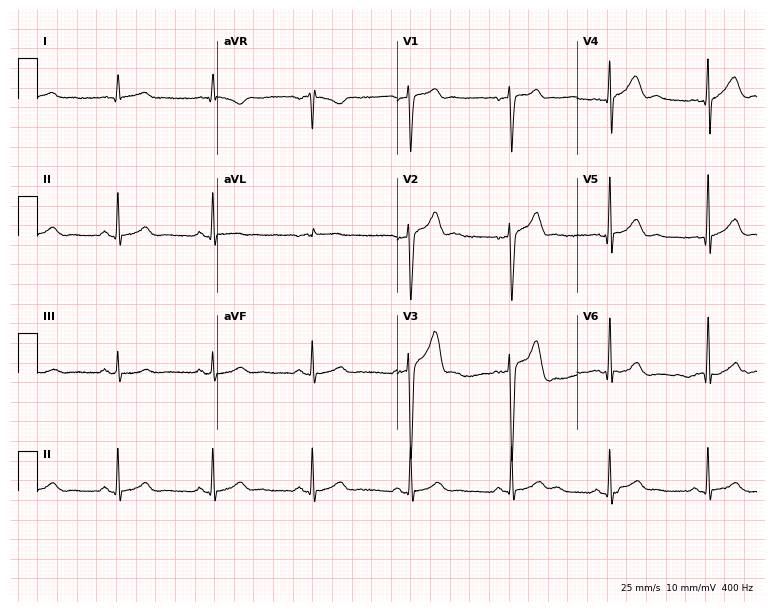
ECG — a 50-year-old male patient. Screened for six findings — first-degree AV block, right bundle branch block, left bundle branch block, sinus bradycardia, atrial fibrillation, sinus tachycardia — none is recorded. Other findings, if any, are not listed.